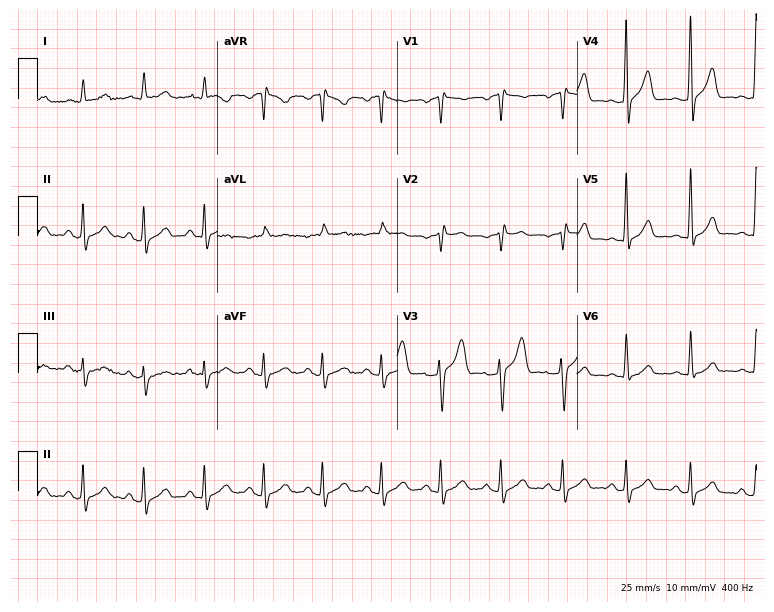
Resting 12-lead electrocardiogram. Patient: a male, 38 years old. None of these six findings is recorded: first-degree AV block, right bundle branch block (RBBB), left bundle branch block (LBBB), sinus bradycardia, atrial fibrillation (AF), sinus tachycardia. Only these six findings were labelled.